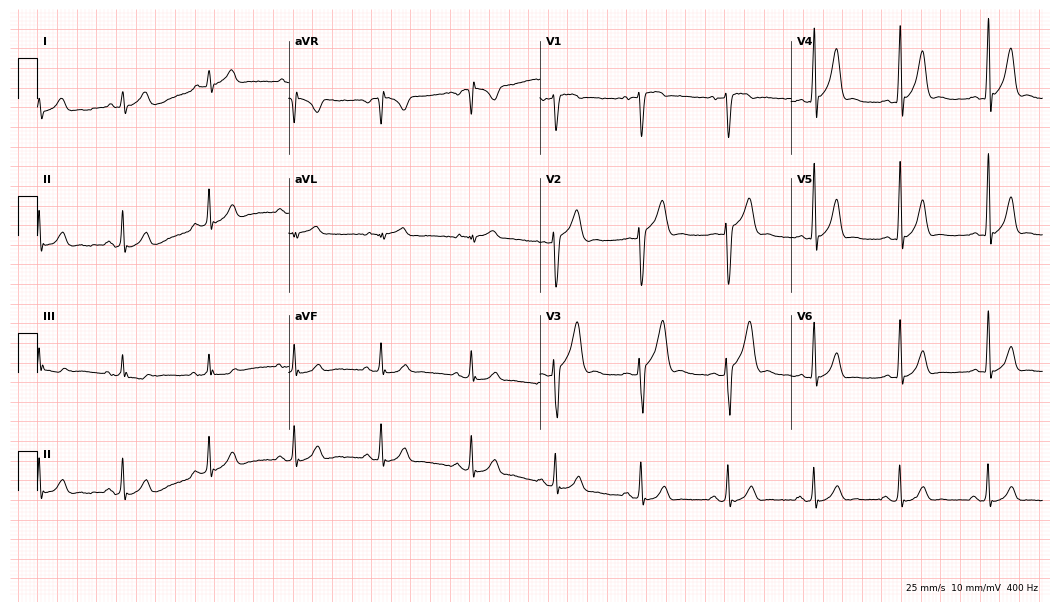
12-lead ECG from a 32-year-old male. Recorded interpretation: within normal limits.